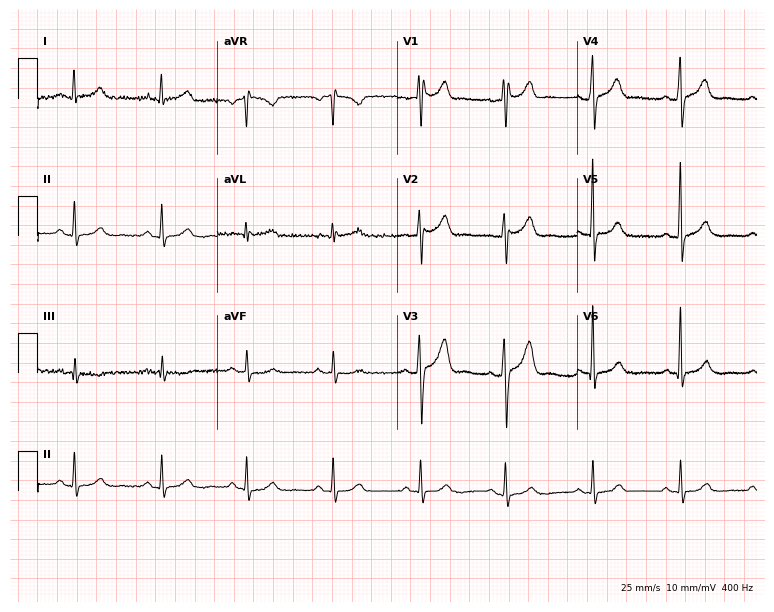
12-lead ECG (7.3-second recording at 400 Hz) from a male, 43 years old. Labelled as a normal ECG.